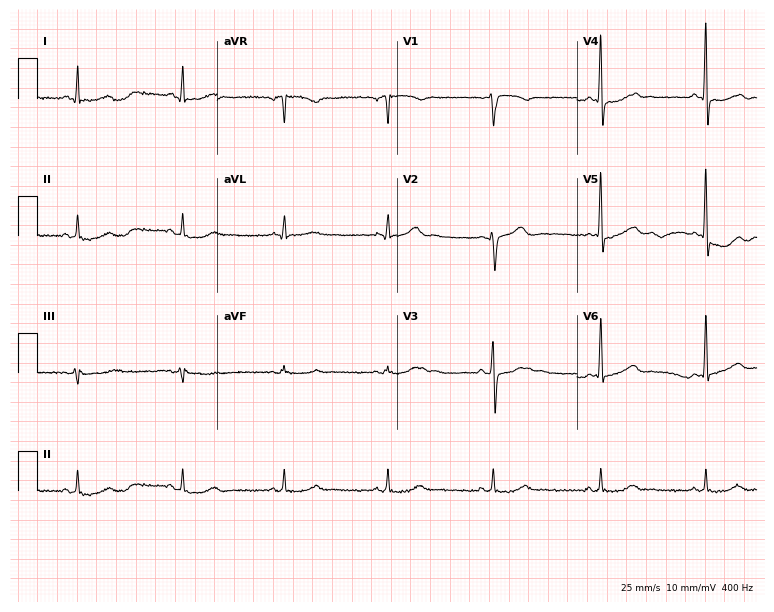
Resting 12-lead electrocardiogram. Patient: a 55-year-old female. None of these six findings is recorded: first-degree AV block, right bundle branch block, left bundle branch block, sinus bradycardia, atrial fibrillation, sinus tachycardia.